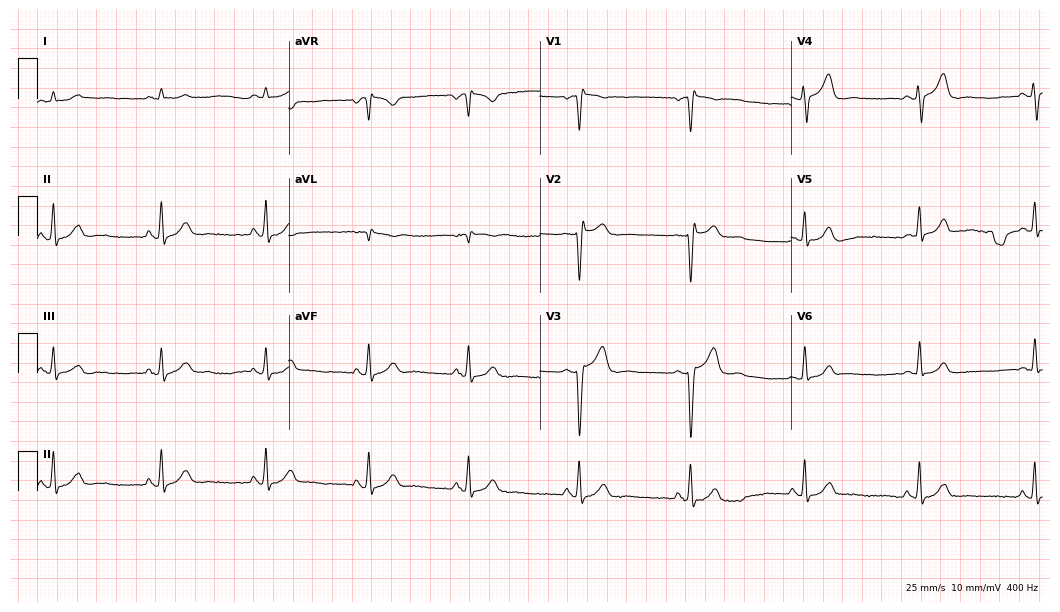
Standard 12-lead ECG recorded from a 32-year-old man. None of these six findings is recorded: first-degree AV block, right bundle branch block, left bundle branch block, sinus bradycardia, atrial fibrillation, sinus tachycardia. Only these six findings were labelled.